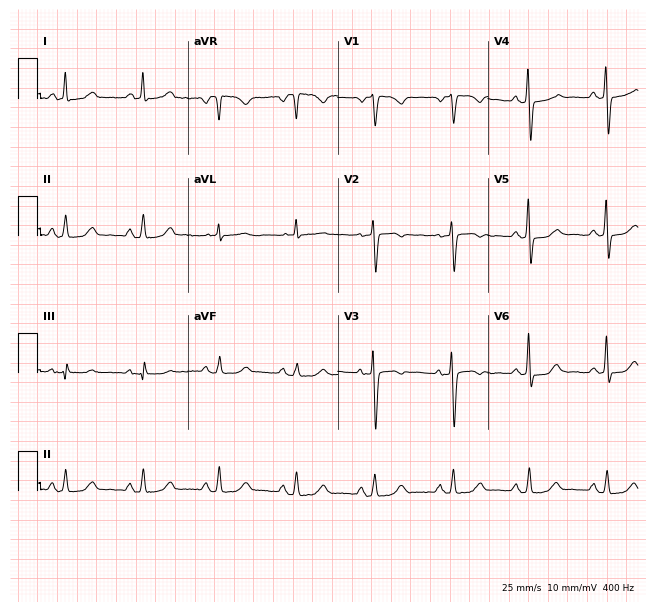
ECG — a woman, 54 years old. Labelled as a normal ECG.